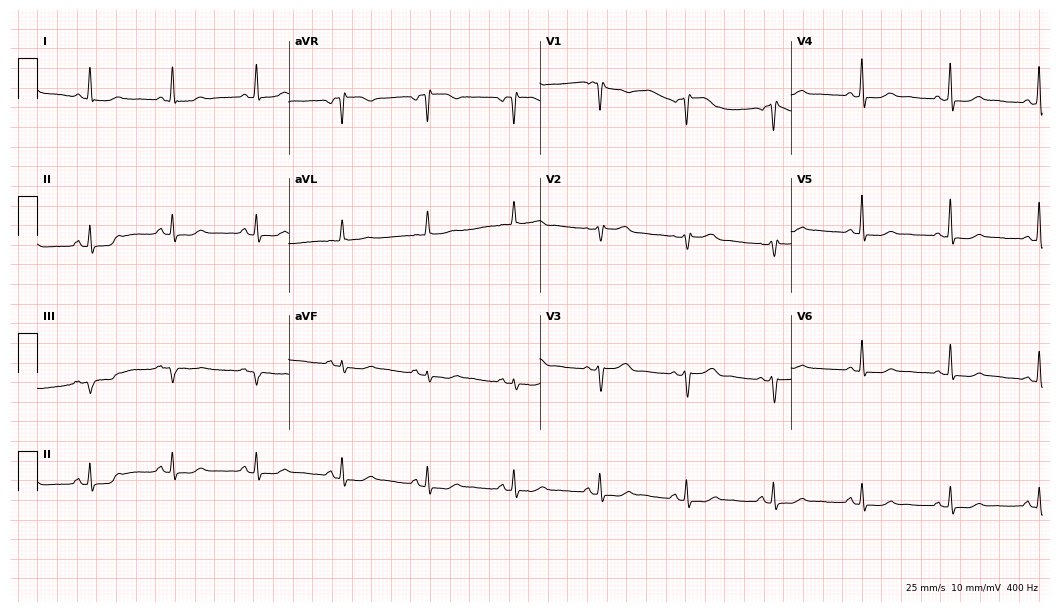
Resting 12-lead electrocardiogram (10.2-second recording at 400 Hz). Patient: a woman, 66 years old. Read as a normal ECG.